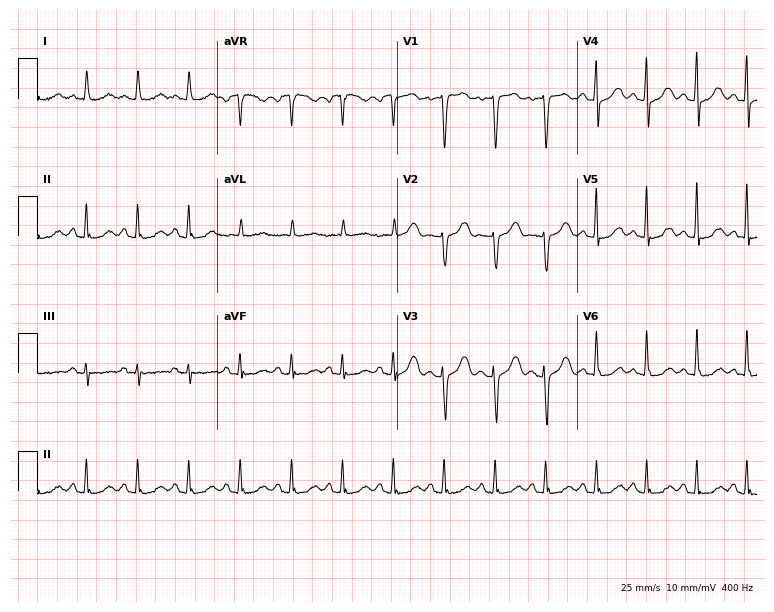
ECG (7.3-second recording at 400 Hz) — a 45-year-old female. Screened for six findings — first-degree AV block, right bundle branch block (RBBB), left bundle branch block (LBBB), sinus bradycardia, atrial fibrillation (AF), sinus tachycardia — none is recorded. Other findings, if any, are not listed.